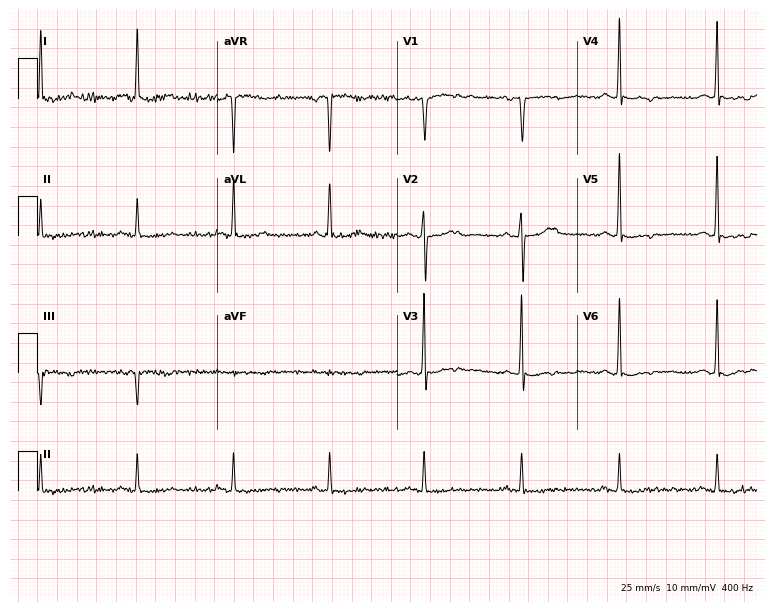
Electrocardiogram (7.3-second recording at 400 Hz), an 82-year-old female patient. Overall reading on record: normal ECG.